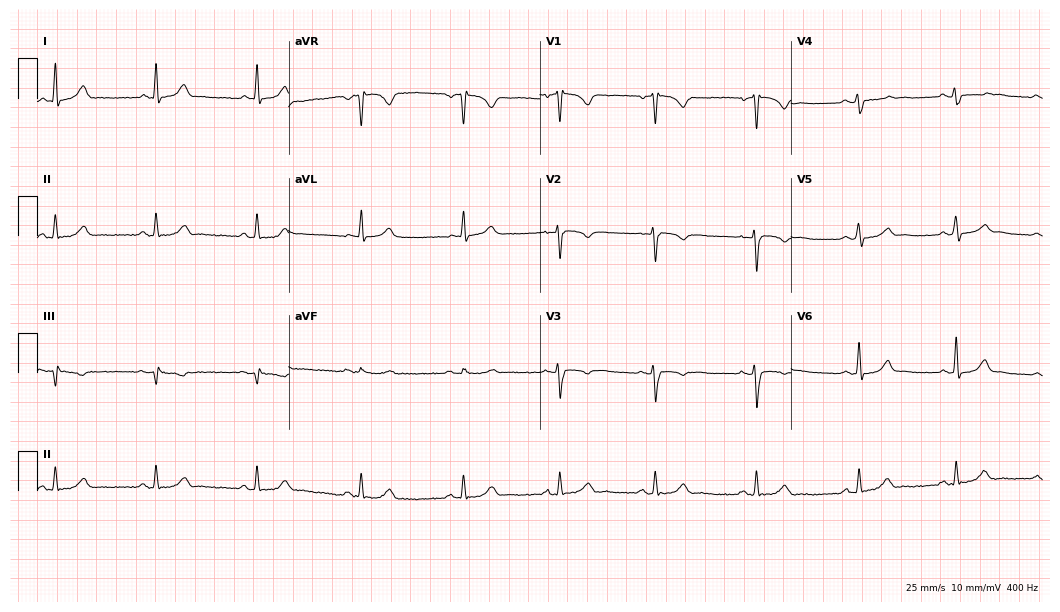
12-lead ECG from a 26-year-old male. Labelled as a normal ECG.